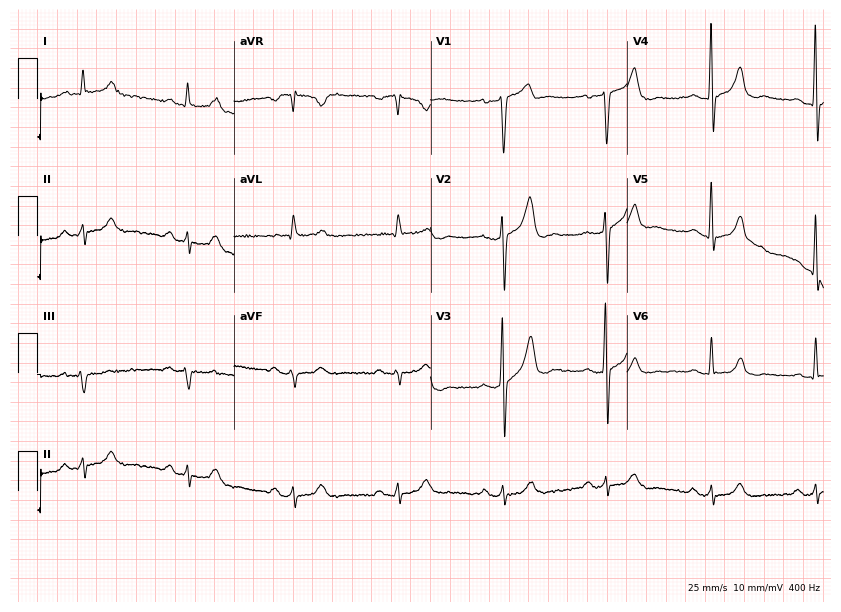
ECG (8-second recording at 400 Hz) — a 65-year-old man. Labelled as a normal ECG.